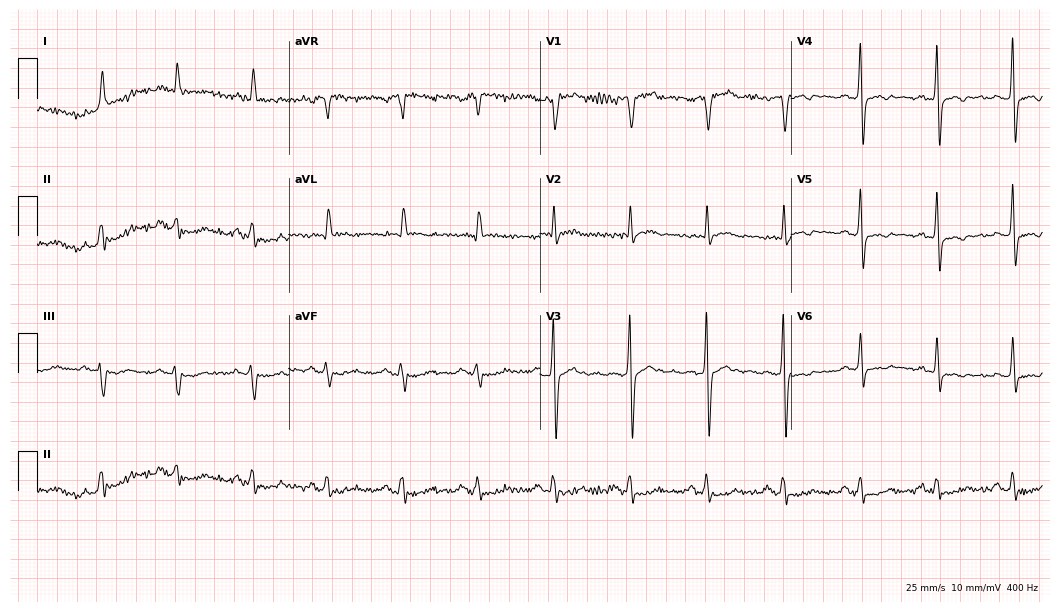
Standard 12-lead ECG recorded from an 81-year-old male. None of these six findings is recorded: first-degree AV block, right bundle branch block (RBBB), left bundle branch block (LBBB), sinus bradycardia, atrial fibrillation (AF), sinus tachycardia.